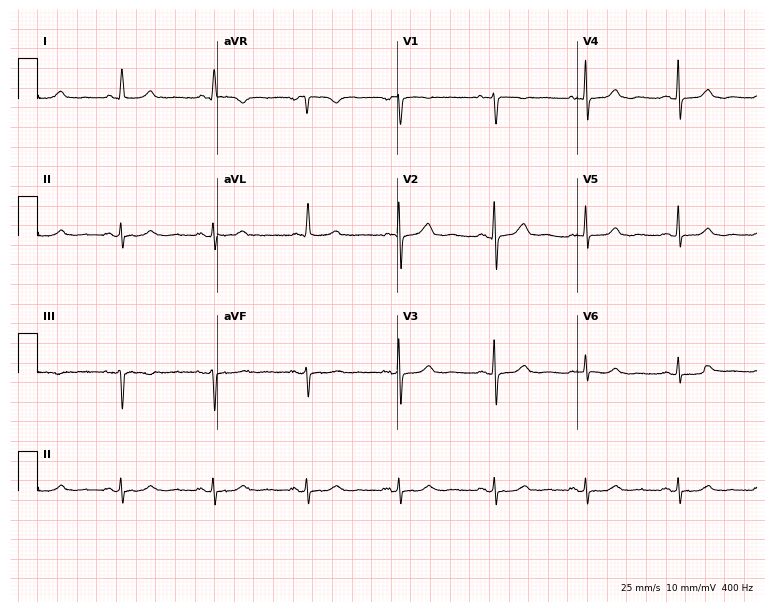
ECG — a 71-year-old female patient. Labelled as a normal ECG.